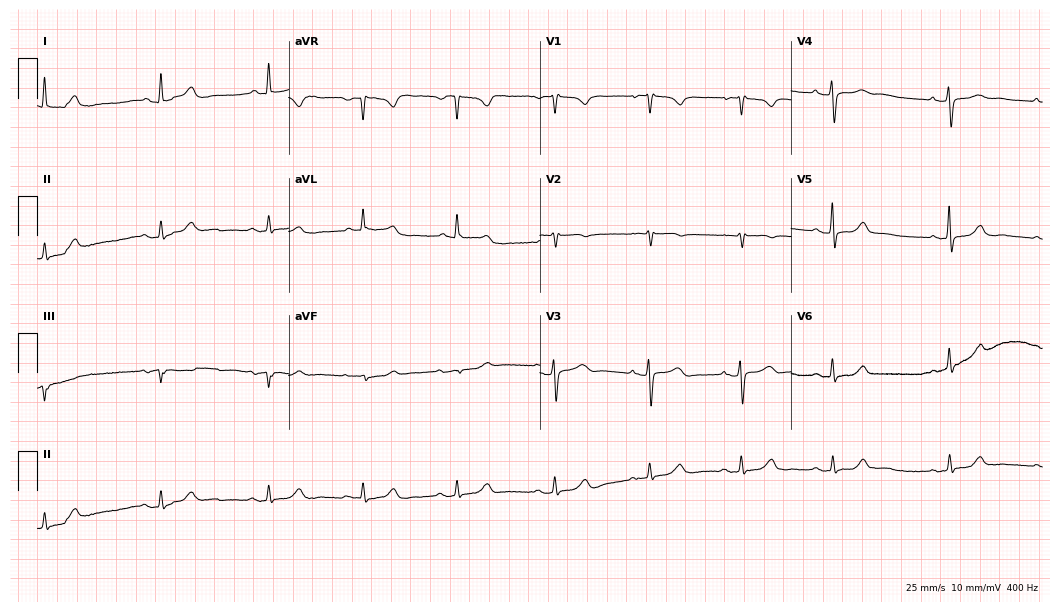
12-lead ECG (10.2-second recording at 400 Hz) from a 79-year-old woman. Labelled as a normal ECG.